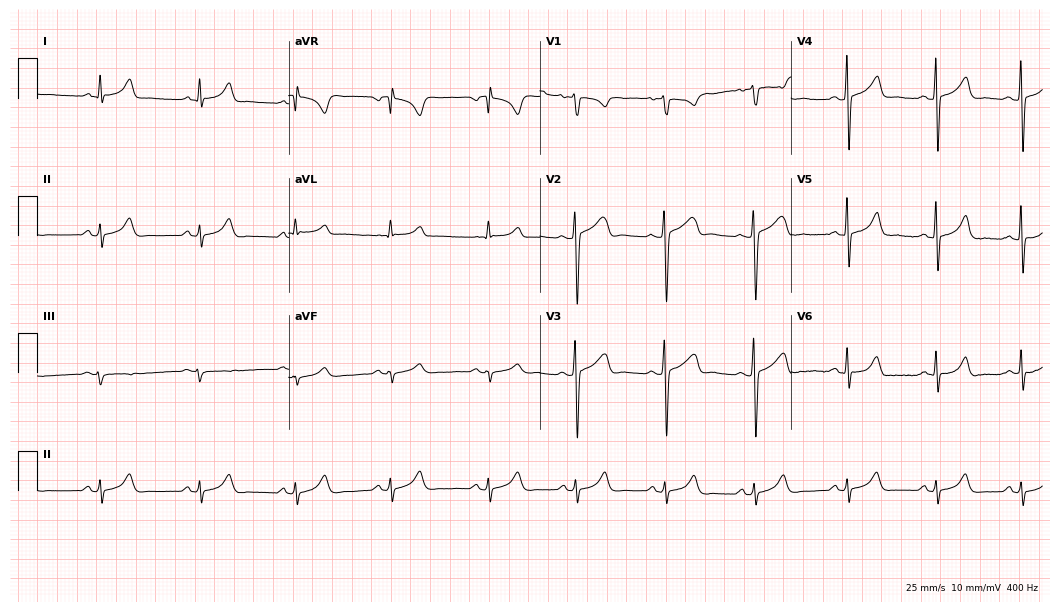
Electrocardiogram (10.2-second recording at 400 Hz), a male, 27 years old. Of the six screened findings (first-degree AV block, right bundle branch block, left bundle branch block, sinus bradycardia, atrial fibrillation, sinus tachycardia), none is recorded. Only these six findings were labelled.